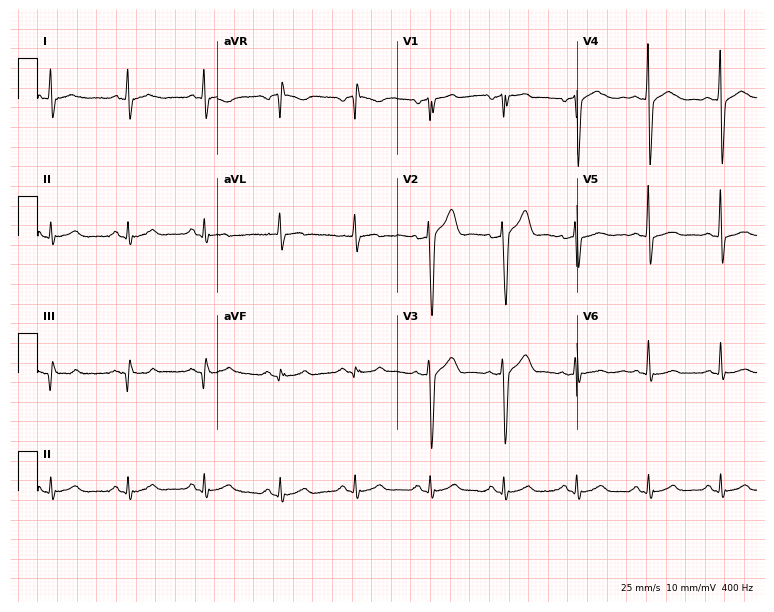
Resting 12-lead electrocardiogram. Patient: a 50-year-old male. None of these six findings is recorded: first-degree AV block, right bundle branch block, left bundle branch block, sinus bradycardia, atrial fibrillation, sinus tachycardia. Only these six findings were labelled.